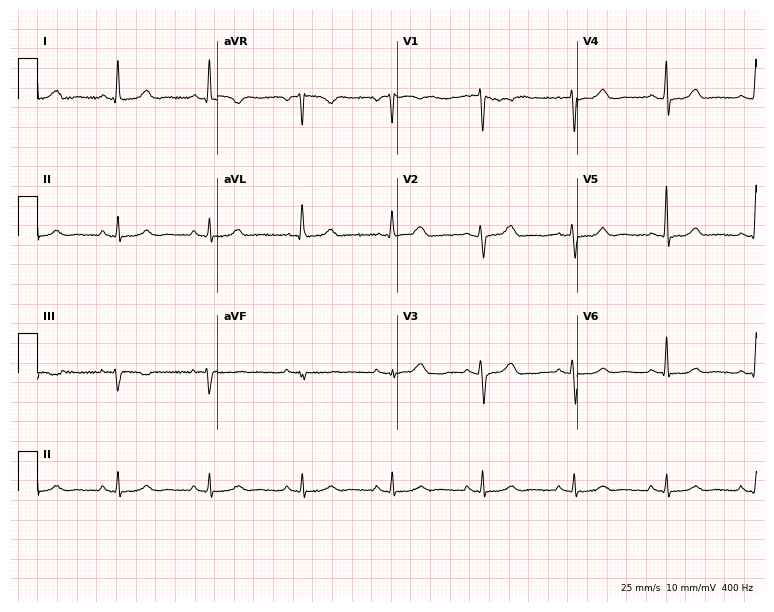
ECG — a female, 47 years old. Screened for six findings — first-degree AV block, right bundle branch block (RBBB), left bundle branch block (LBBB), sinus bradycardia, atrial fibrillation (AF), sinus tachycardia — none is recorded.